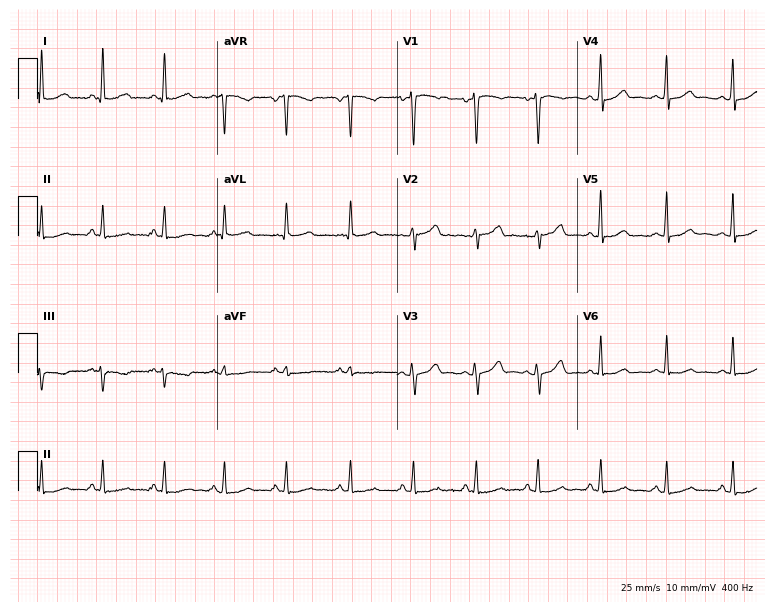
Standard 12-lead ECG recorded from a female patient, 44 years old (7.3-second recording at 400 Hz). Read as a normal ECG.